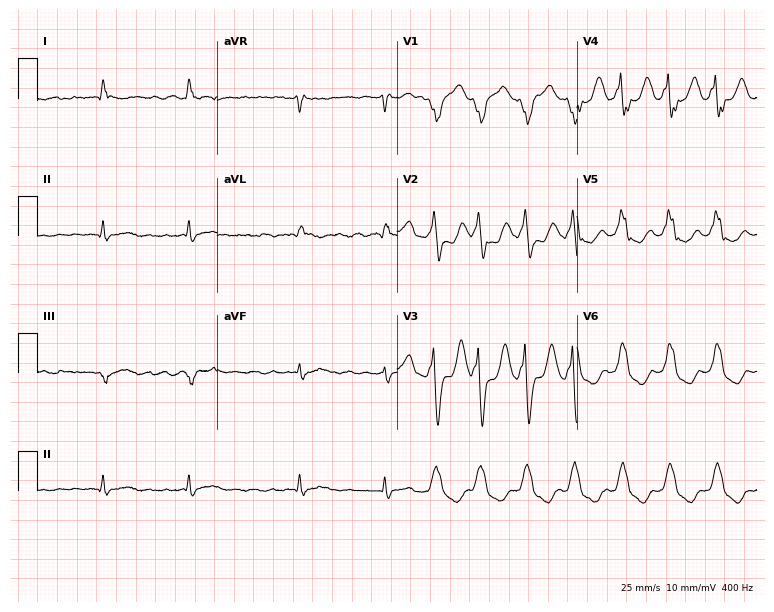
Resting 12-lead electrocardiogram. Patient: a man, 72 years old. None of these six findings is recorded: first-degree AV block, right bundle branch block, left bundle branch block, sinus bradycardia, atrial fibrillation, sinus tachycardia. Other findings, if any, are not listed.